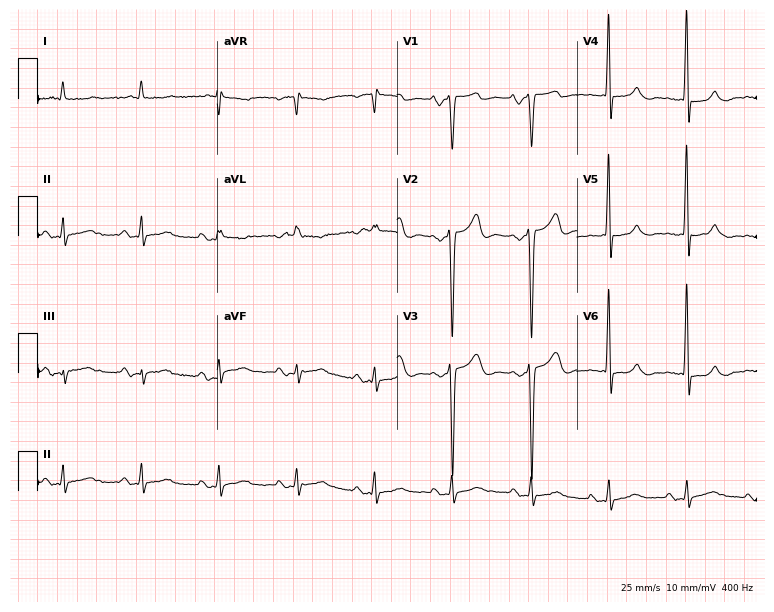
12-lead ECG from an 83-year-old man. Screened for six findings — first-degree AV block, right bundle branch block, left bundle branch block, sinus bradycardia, atrial fibrillation, sinus tachycardia — none is recorded. Findings outside these six are not listed.